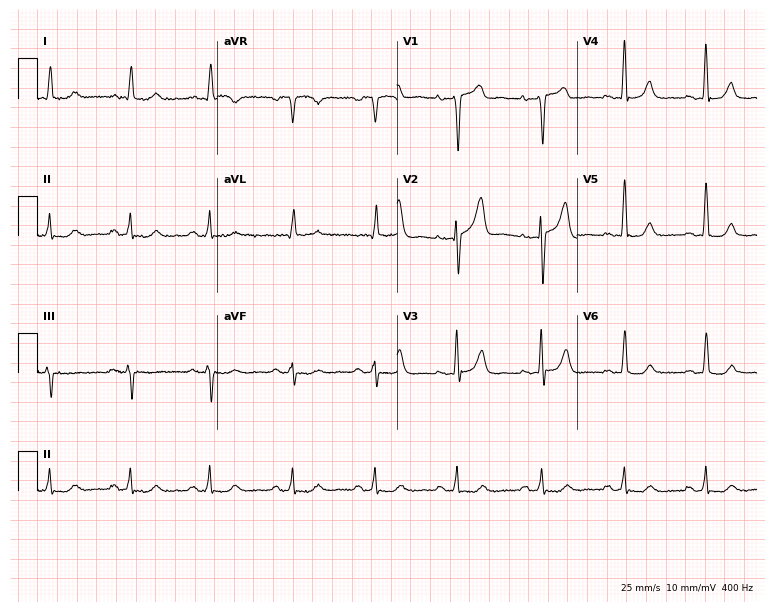
12-lead ECG from a 61-year-old male. Recorded interpretation: within normal limits.